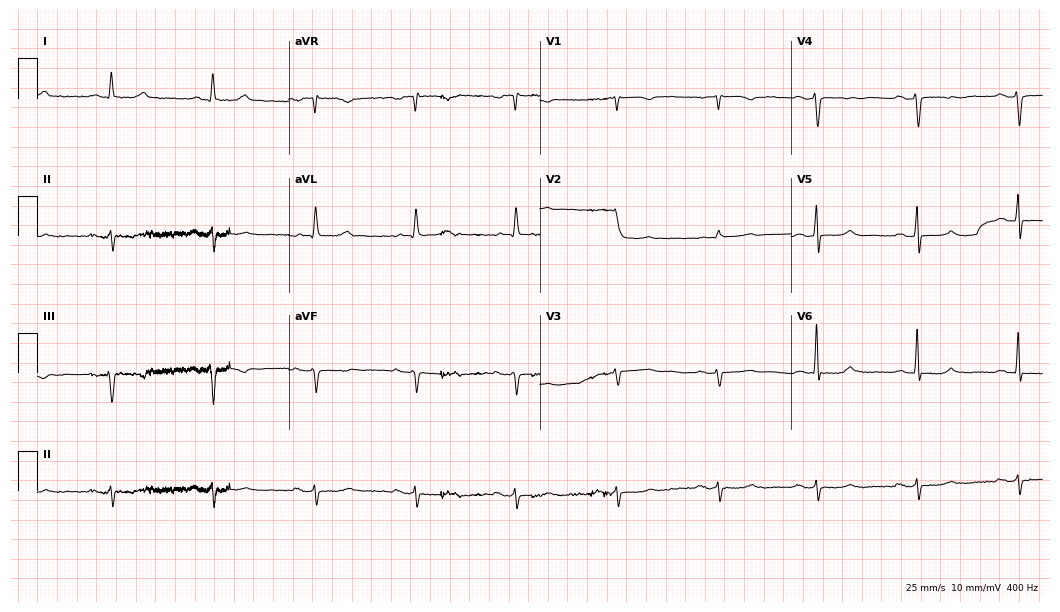
Resting 12-lead electrocardiogram. Patient: a 71-year-old female. None of these six findings is recorded: first-degree AV block, right bundle branch block, left bundle branch block, sinus bradycardia, atrial fibrillation, sinus tachycardia.